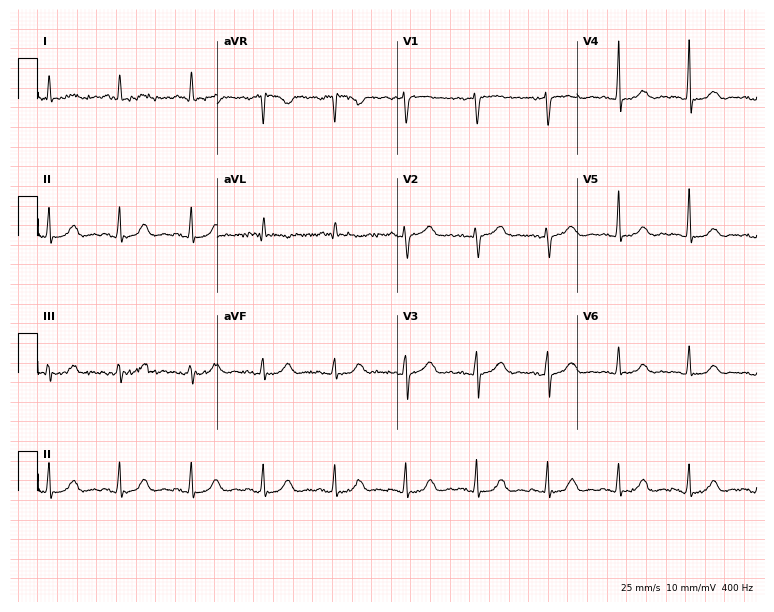
Standard 12-lead ECG recorded from a 70-year-old female (7.3-second recording at 400 Hz). None of these six findings is recorded: first-degree AV block, right bundle branch block (RBBB), left bundle branch block (LBBB), sinus bradycardia, atrial fibrillation (AF), sinus tachycardia.